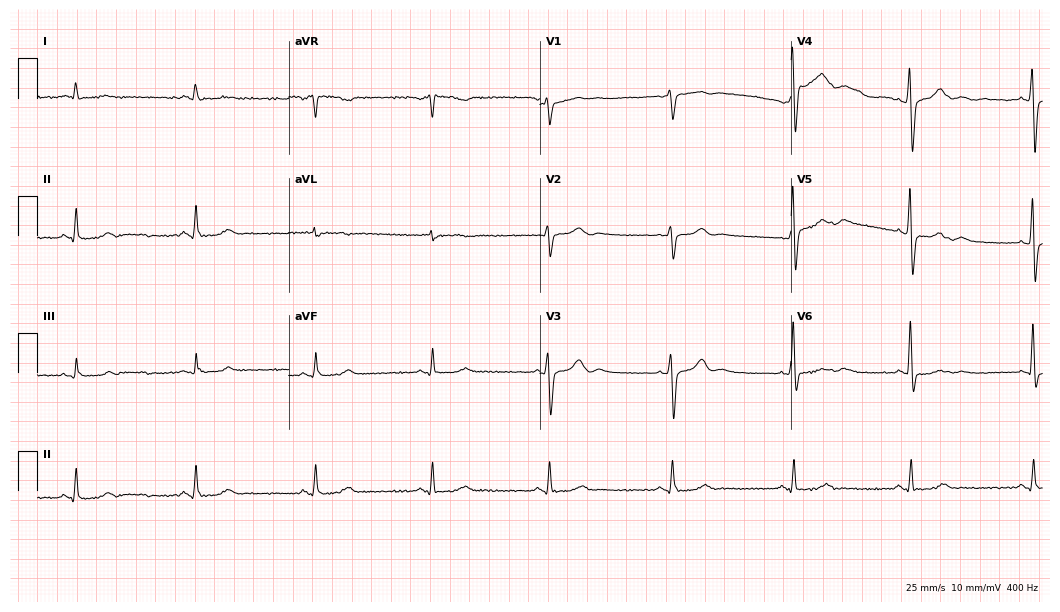
12-lead ECG from a 58-year-old male (10.2-second recording at 400 Hz). Shows sinus bradycardia (a sinus rate of 50 beats per minute or less).